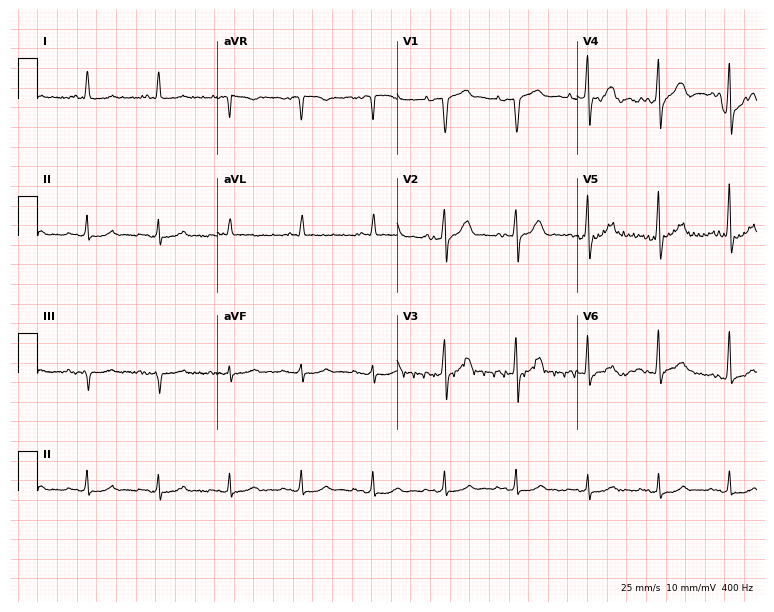
Electrocardiogram, a 56-year-old male patient. Overall reading on record: normal ECG.